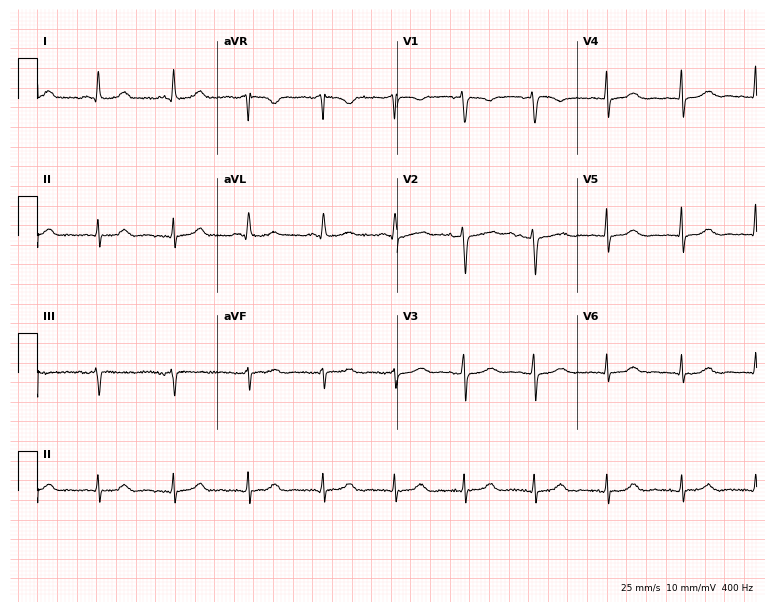
ECG (7.3-second recording at 400 Hz) — a 51-year-old female patient. Screened for six findings — first-degree AV block, right bundle branch block, left bundle branch block, sinus bradycardia, atrial fibrillation, sinus tachycardia — none is recorded. Only these six findings were labelled.